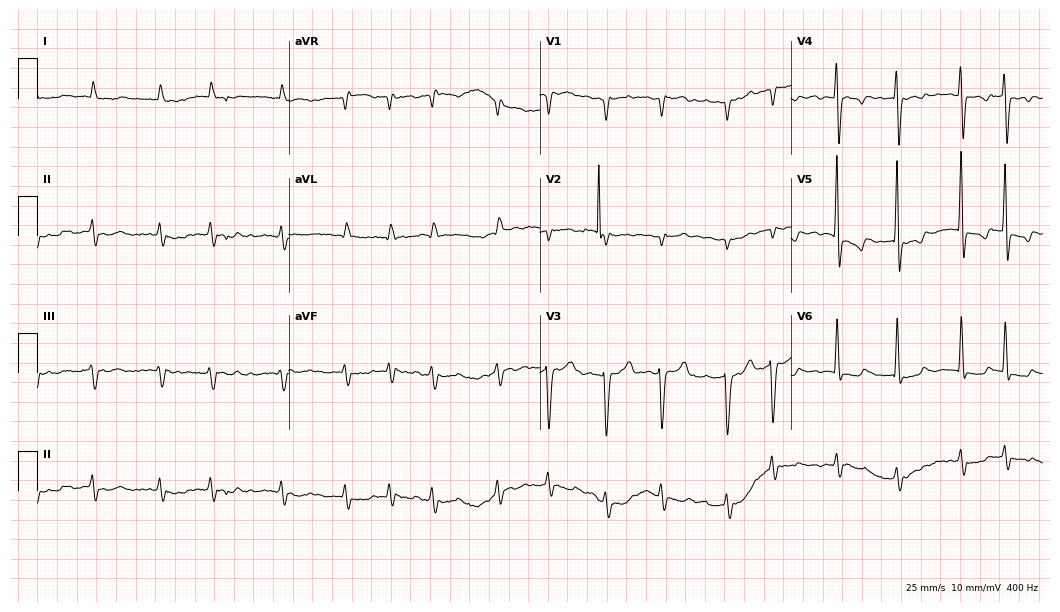
Resting 12-lead electrocardiogram. Patient: an 80-year-old man. The tracing shows atrial fibrillation.